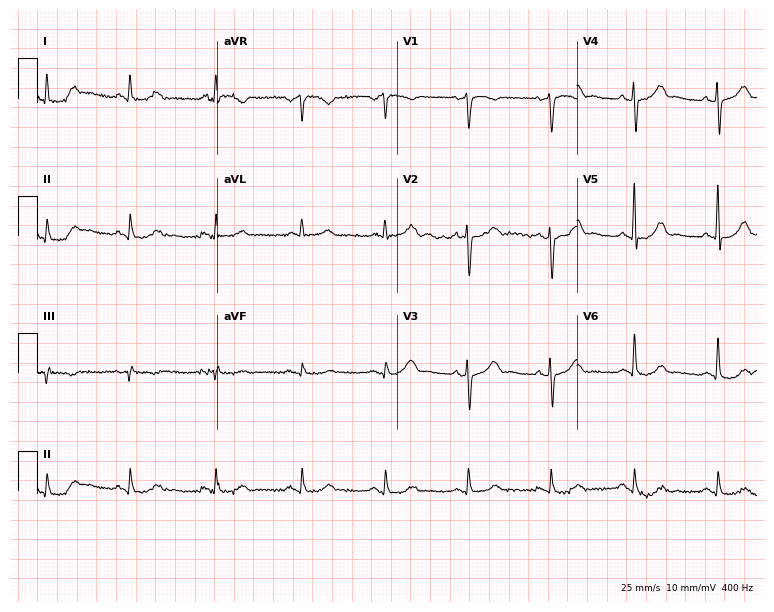
12-lead ECG from a man, 68 years old. Screened for six findings — first-degree AV block, right bundle branch block, left bundle branch block, sinus bradycardia, atrial fibrillation, sinus tachycardia — none is recorded. Findings outside these six are not listed.